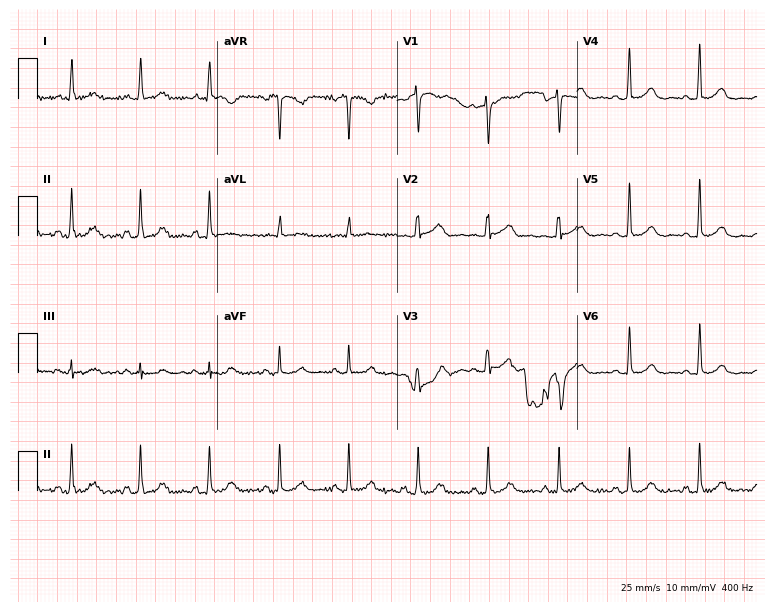
Electrocardiogram (7.3-second recording at 400 Hz), a 63-year-old female patient. Overall reading on record: normal ECG.